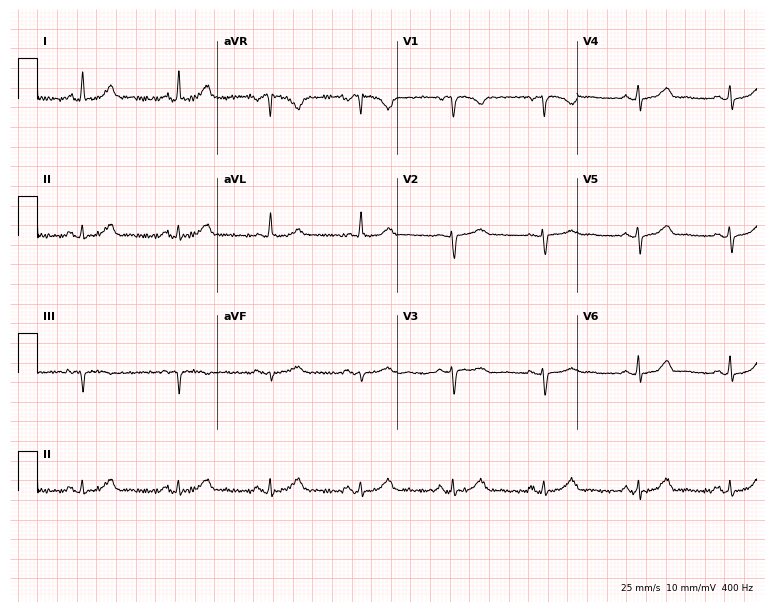
ECG (7.3-second recording at 400 Hz) — a female, 51 years old. Labelled as a normal ECG.